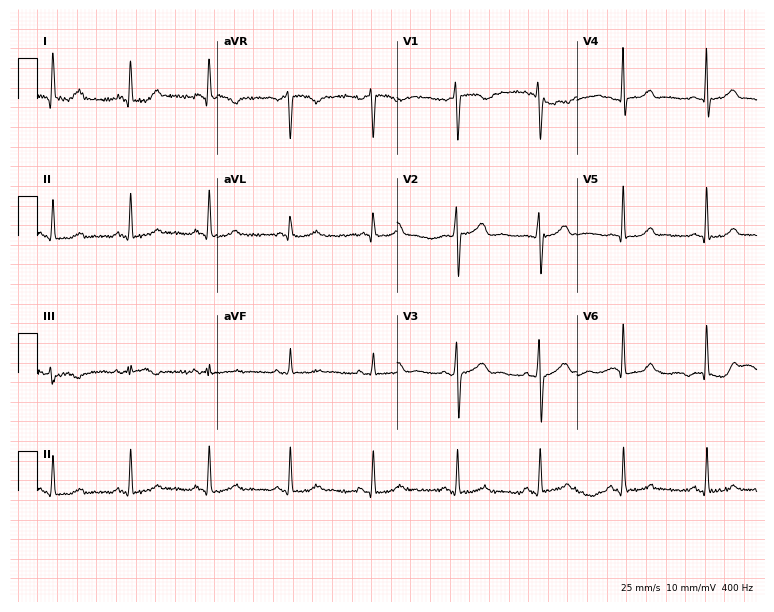
ECG (7.3-second recording at 400 Hz) — a woman, 46 years old. Screened for six findings — first-degree AV block, right bundle branch block, left bundle branch block, sinus bradycardia, atrial fibrillation, sinus tachycardia — none is recorded.